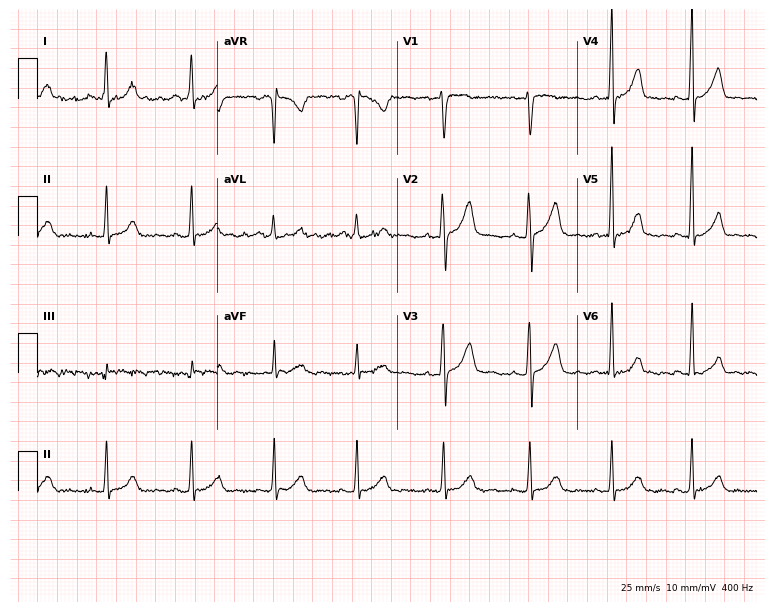
12-lead ECG from a 49-year-old woman (7.3-second recording at 400 Hz). Recorded interpretation: within normal limits.